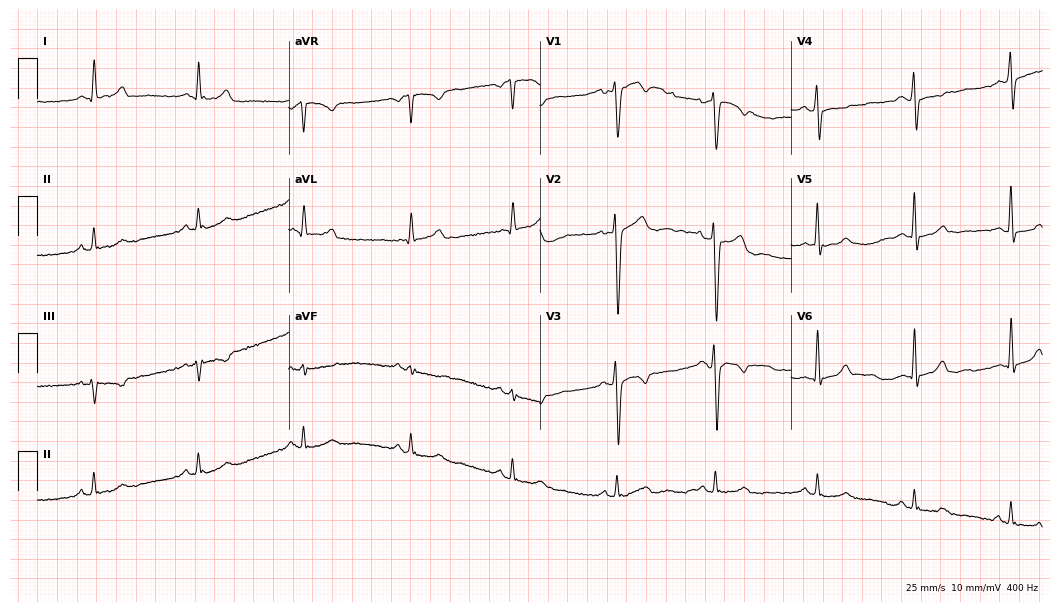
Resting 12-lead electrocardiogram (10.2-second recording at 400 Hz). Patient: a 44-year-old man. Read as a normal ECG.